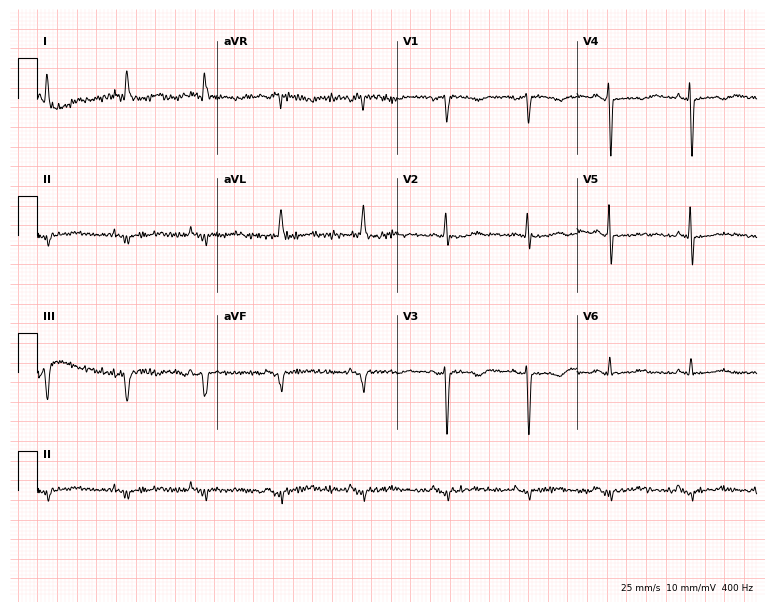
Standard 12-lead ECG recorded from a 78-year-old female. None of these six findings is recorded: first-degree AV block, right bundle branch block, left bundle branch block, sinus bradycardia, atrial fibrillation, sinus tachycardia.